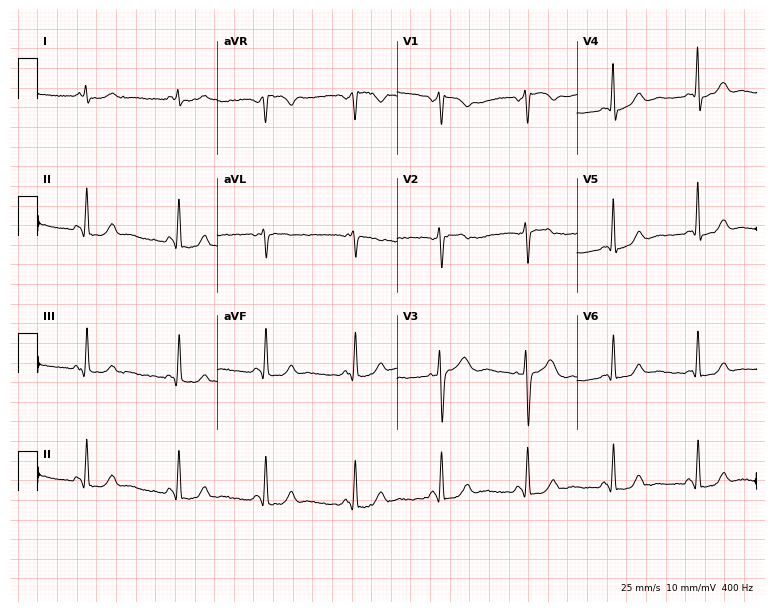
ECG — a female patient, 51 years old. Screened for six findings — first-degree AV block, right bundle branch block (RBBB), left bundle branch block (LBBB), sinus bradycardia, atrial fibrillation (AF), sinus tachycardia — none is recorded. Other findings, if any, are not listed.